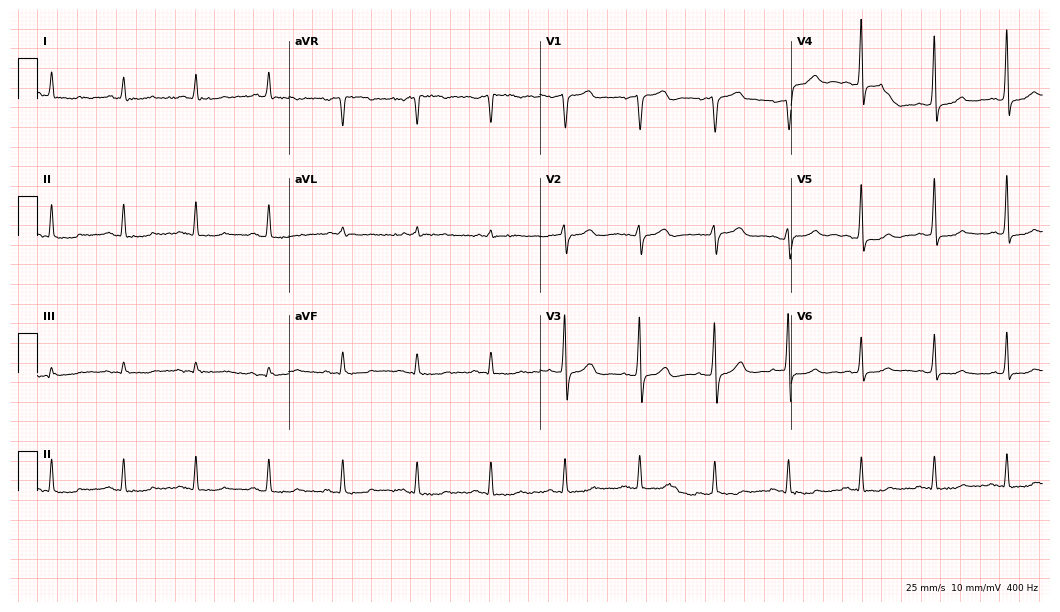
12-lead ECG from a 74-year-old male patient (10.2-second recording at 400 Hz). Recorded interpretation: within normal limits.